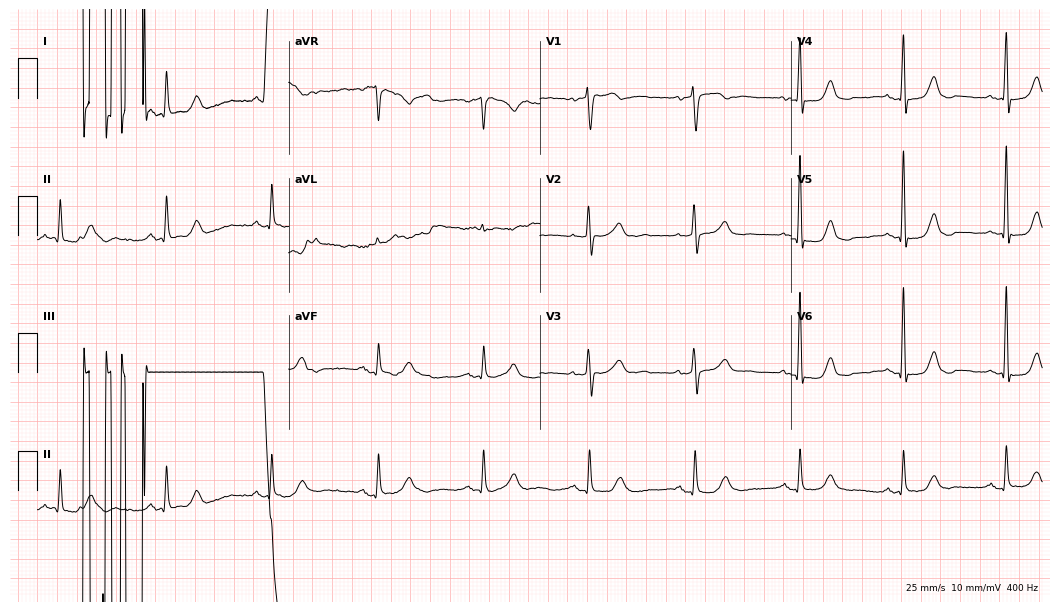
Standard 12-lead ECG recorded from a woman, 75 years old (10.2-second recording at 400 Hz). None of these six findings is recorded: first-degree AV block, right bundle branch block (RBBB), left bundle branch block (LBBB), sinus bradycardia, atrial fibrillation (AF), sinus tachycardia. Findings outside these six are not listed.